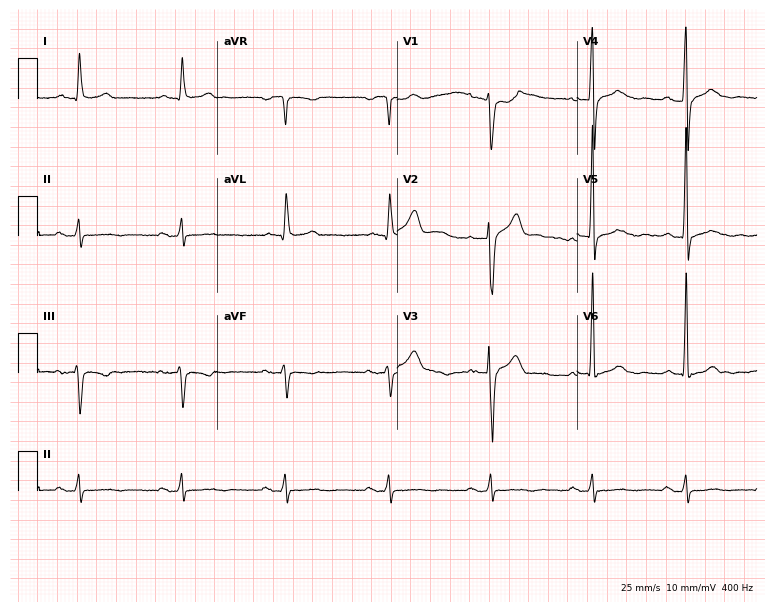
12-lead ECG from a 63-year-old man (7.3-second recording at 400 Hz). No first-degree AV block, right bundle branch block, left bundle branch block, sinus bradycardia, atrial fibrillation or sinus tachycardia recorded for this tracing. Only these six findings were labelled.